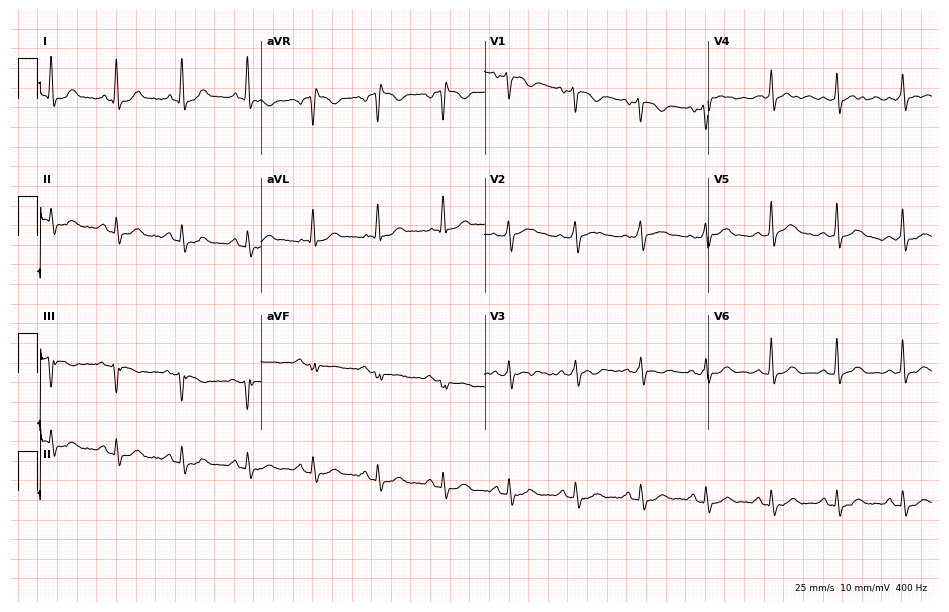
Resting 12-lead electrocardiogram. Patient: a 49-year-old man. None of these six findings is recorded: first-degree AV block, right bundle branch block (RBBB), left bundle branch block (LBBB), sinus bradycardia, atrial fibrillation (AF), sinus tachycardia.